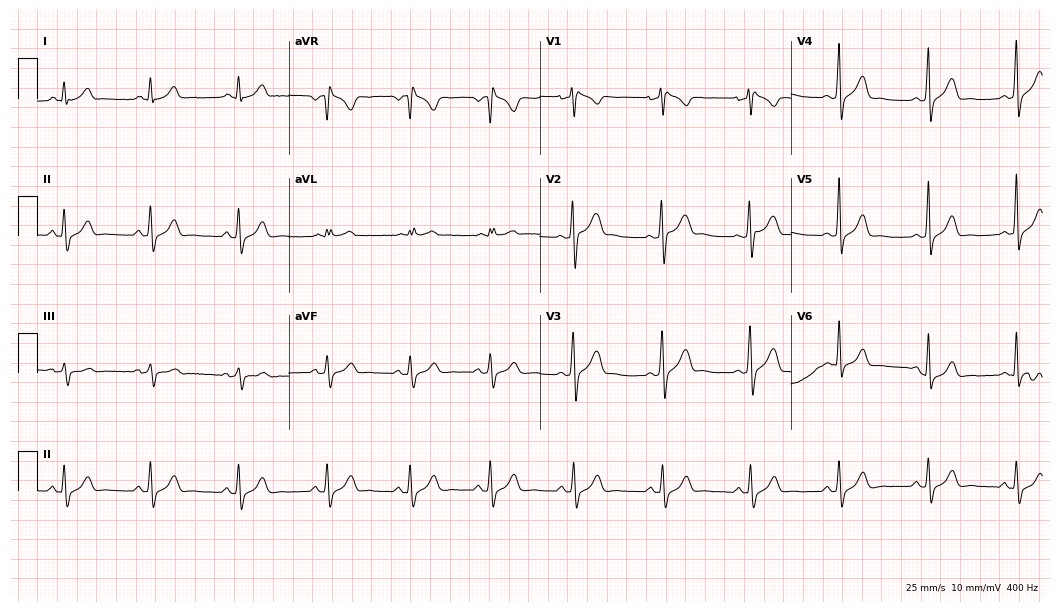
Electrocardiogram (10.2-second recording at 400 Hz), a male, 38 years old. Of the six screened findings (first-degree AV block, right bundle branch block, left bundle branch block, sinus bradycardia, atrial fibrillation, sinus tachycardia), none is recorded. Findings outside these six are not listed.